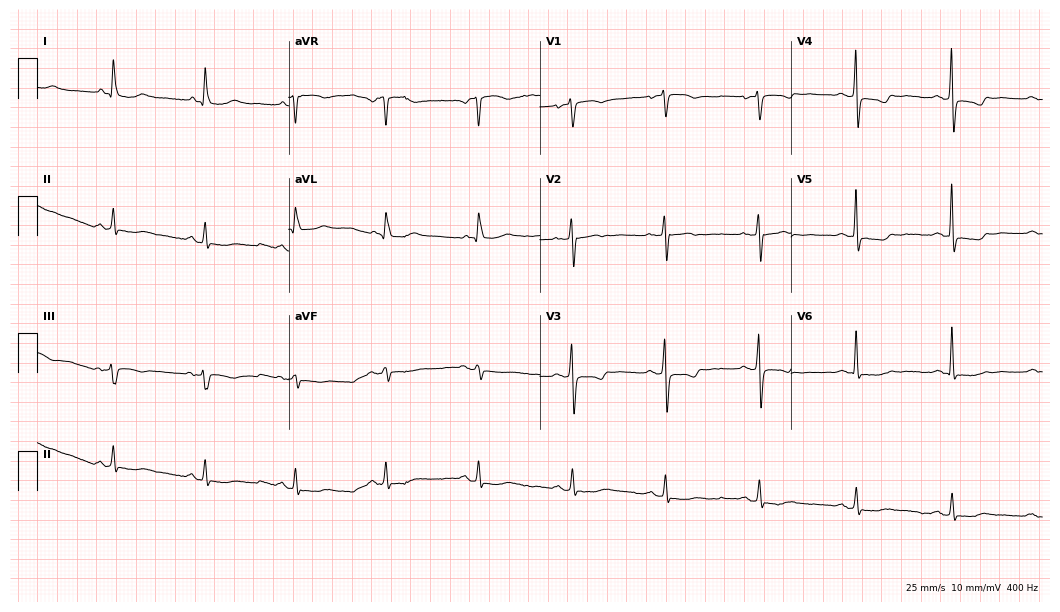
Standard 12-lead ECG recorded from a female, 56 years old. None of these six findings is recorded: first-degree AV block, right bundle branch block, left bundle branch block, sinus bradycardia, atrial fibrillation, sinus tachycardia. Only these six findings were labelled.